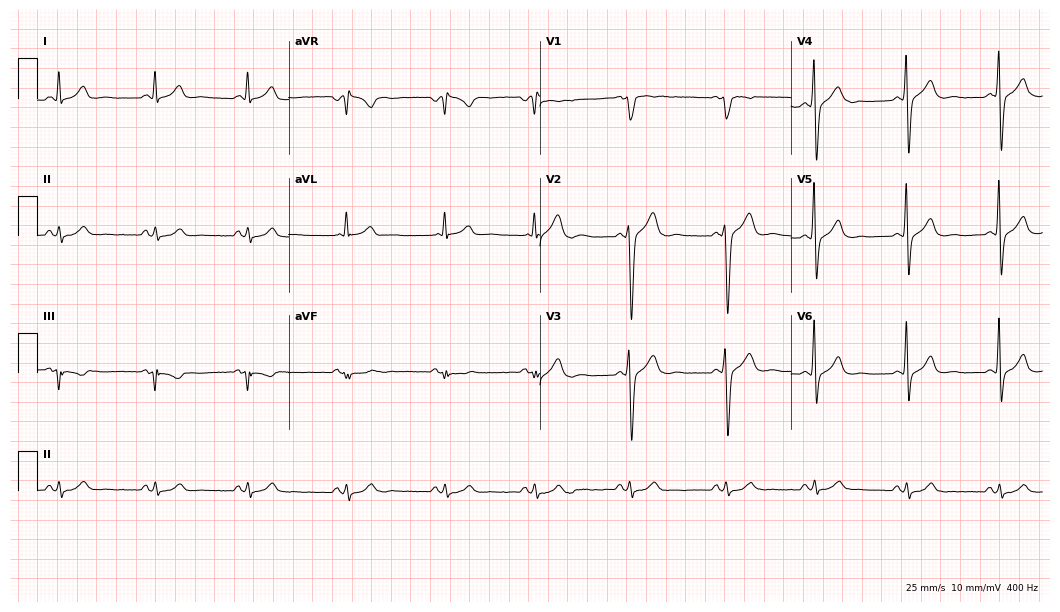
Electrocardiogram (10.2-second recording at 400 Hz), a 43-year-old male patient. Of the six screened findings (first-degree AV block, right bundle branch block, left bundle branch block, sinus bradycardia, atrial fibrillation, sinus tachycardia), none is recorded. Findings outside these six are not listed.